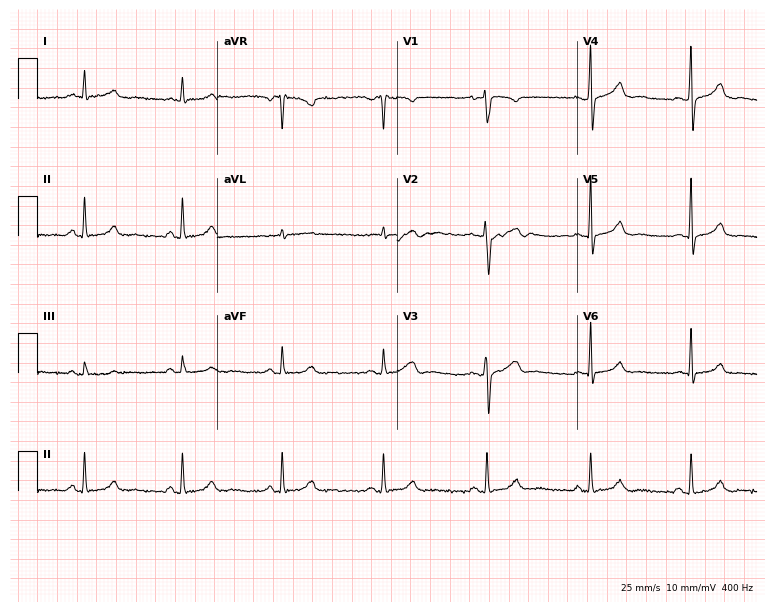
Resting 12-lead electrocardiogram (7.3-second recording at 400 Hz). Patient: a 48-year-old female. Read as a normal ECG.